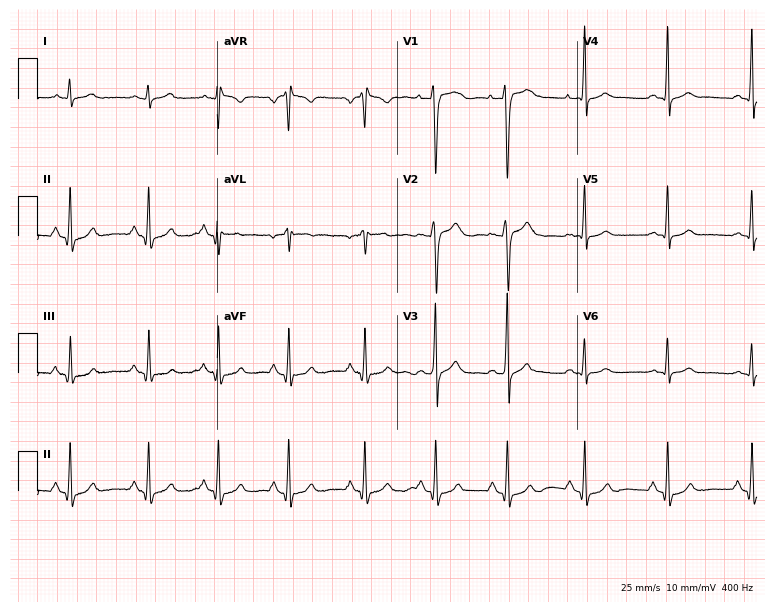
ECG — a male patient, 20 years old. Labelled as a normal ECG.